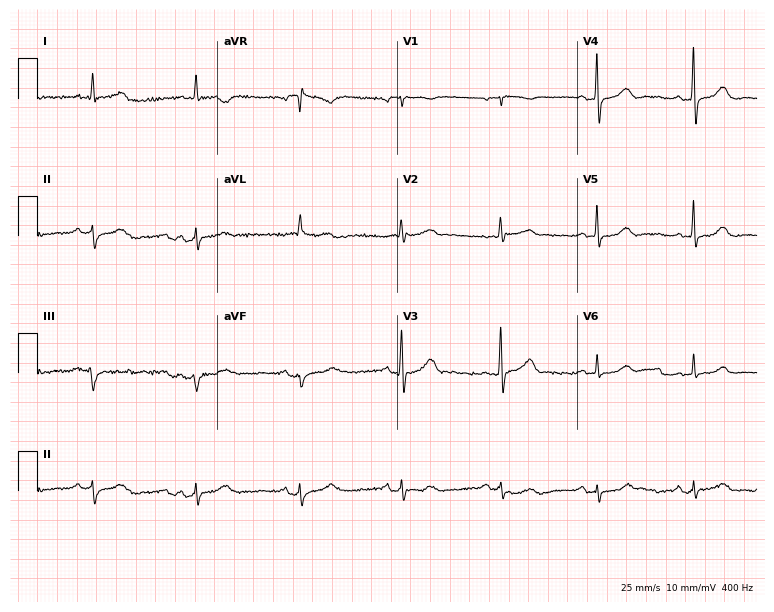
12-lead ECG from a female, 67 years old. No first-degree AV block, right bundle branch block, left bundle branch block, sinus bradycardia, atrial fibrillation or sinus tachycardia recorded for this tracing. Only these six findings were labelled.